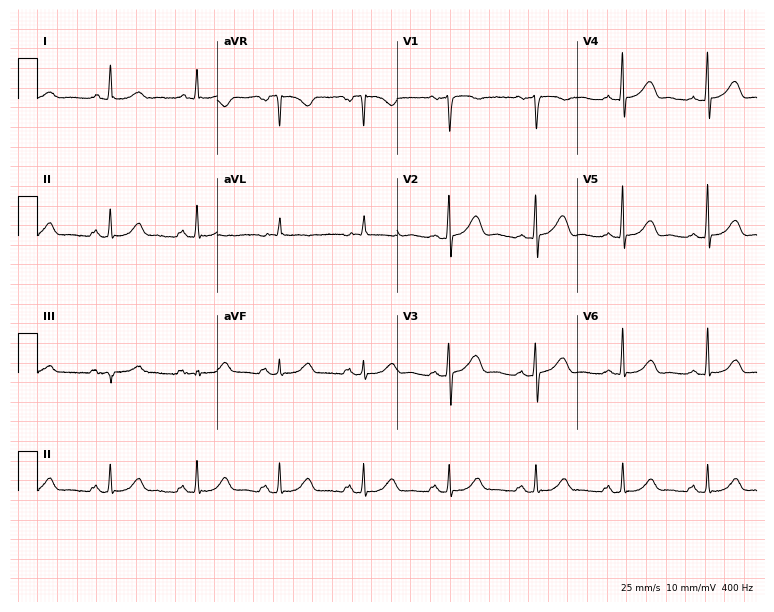
12-lead ECG from a female patient, 44 years old (7.3-second recording at 400 Hz). Recorded interpretation: within normal limits.